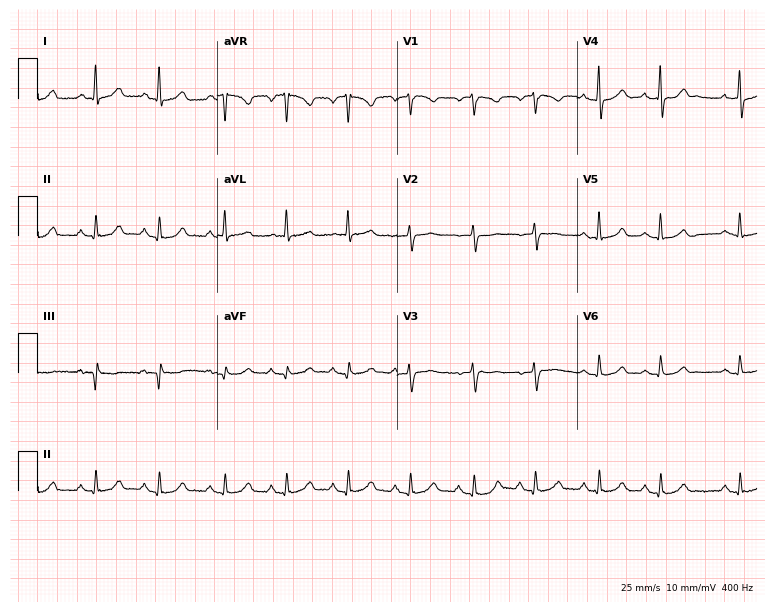
12-lead ECG from a female patient, 66 years old. Recorded interpretation: within normal limits.